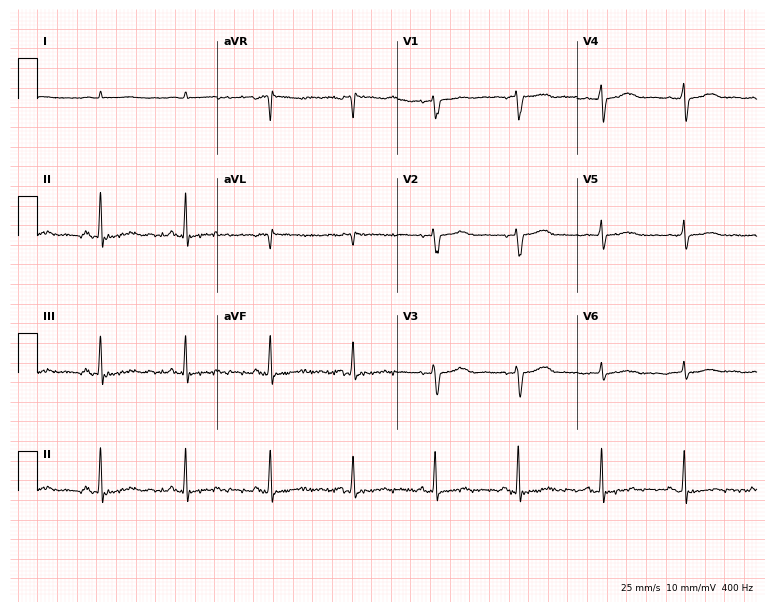
Standard 12-lead ECG recorded from an 83-year-old male. None of these six findings is recorded: first-degree AV block, right bundle branch block (RBBB), left bundle branch block (LBBB), sinus bradycardia, atrial fibrillation (AF), sinus tachycardia.